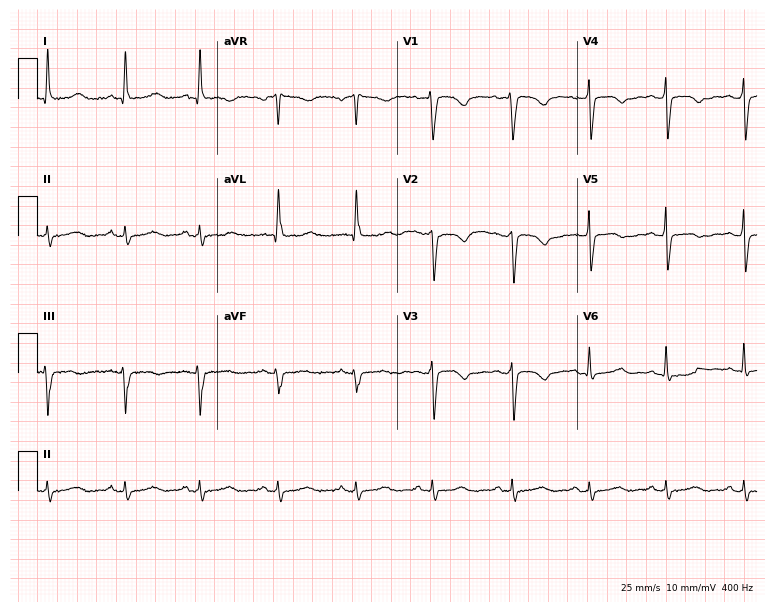
ECG — a female, 58 years old. Screened for six findings — first-degree AV block, right bundle branch block (RBBB), left bundle branch block (LBBB), sinus bradycardia, atrial fibrillation (AF), sinus tachycardia — none is recorded. Findings outside these six are not listed.